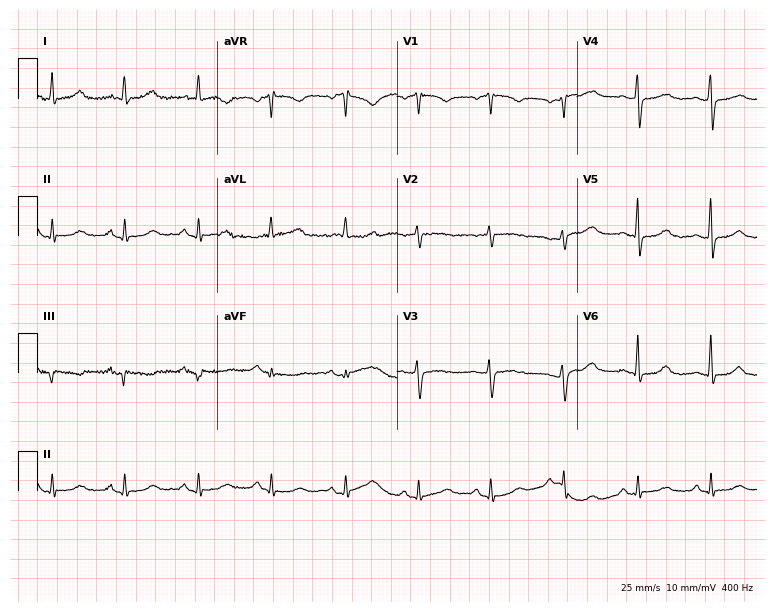
Electrocardiogram, a 60-year-old woman. Overall reading on record: normal ECG.